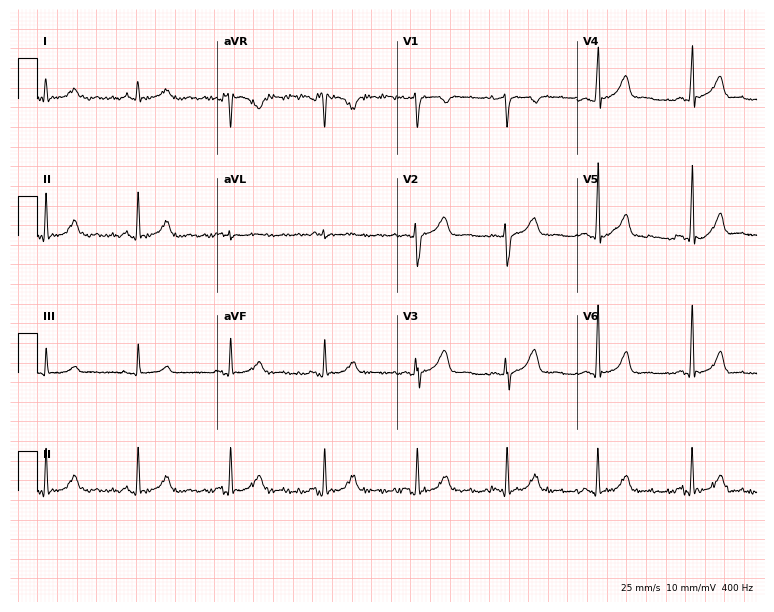
Resting 12-lead electrocardiogram (7.3-second recording at 400 Hz). Patient: a female, 35 years old. None of these six findings is recorded: first-degree AV block, right bundle branch block, left bundle branch block, sinus bradycardia, atrial fibrillation, sinus tachycardia.